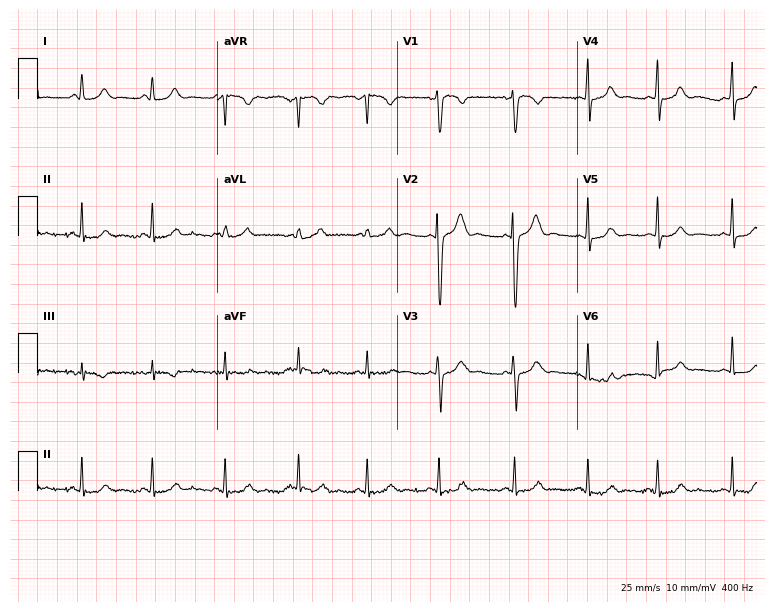
ECG — a 20-year-old woman. Screened for six findings — first-degree AV block, right bundle branch block (RBBB), left bundle branch block (LBBB), sinus bradycardia, atrial fibrillation (AF), sinus tachycardia — none is recorded. Only these six findings were labelled.